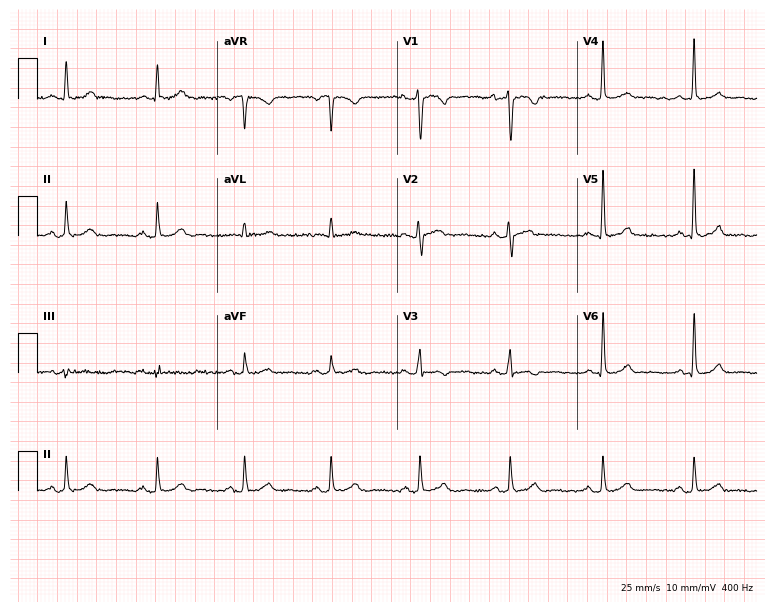
Electrocardiogram, a female patient, 46 years old. Overall reading on record: normal ECG.